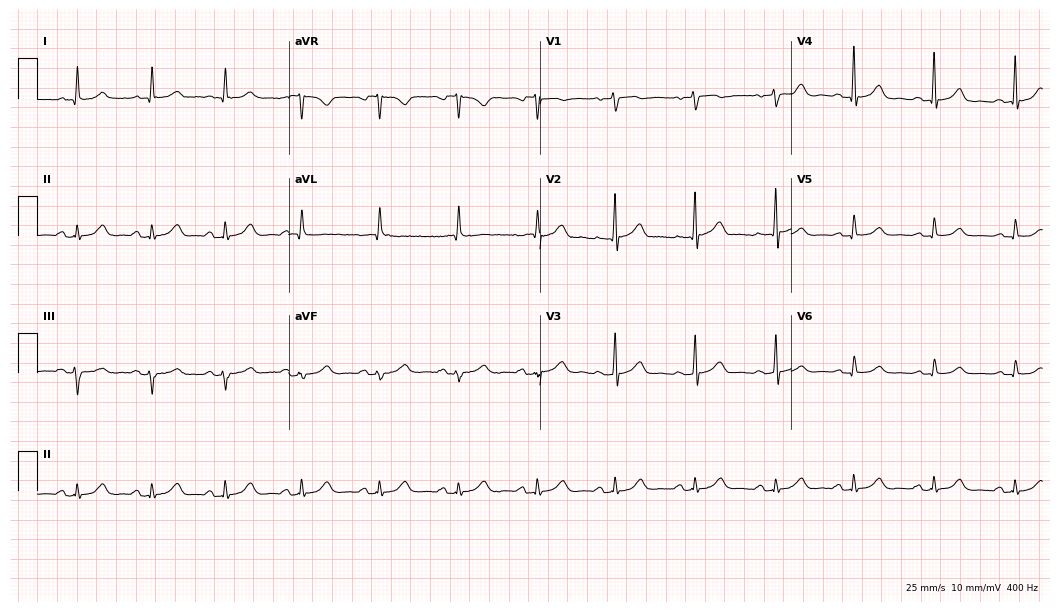
ECG (10.2-second recording at 400 Hz) — a female patient, 70 years old. Labelled as a normal ECG.